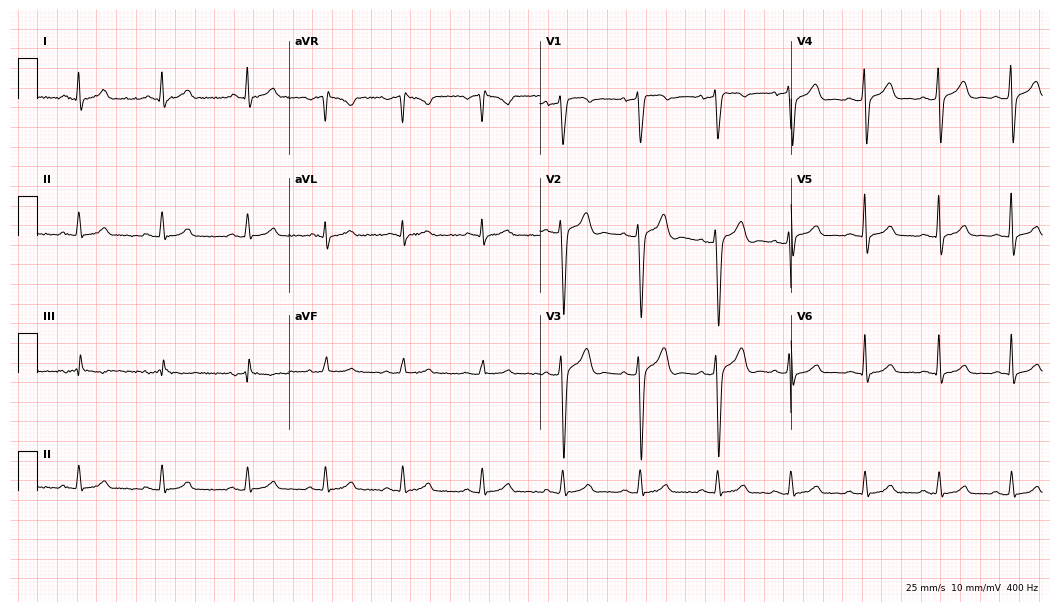
Resting 12-lead electrocardiogram. Patient: a 41-year-old male. None of these six findings is recorded: first-degree AV block, right bundle branch block, left bundle branch block, sinus bradycardia, atrial fibrillation, sinus tachycardia.